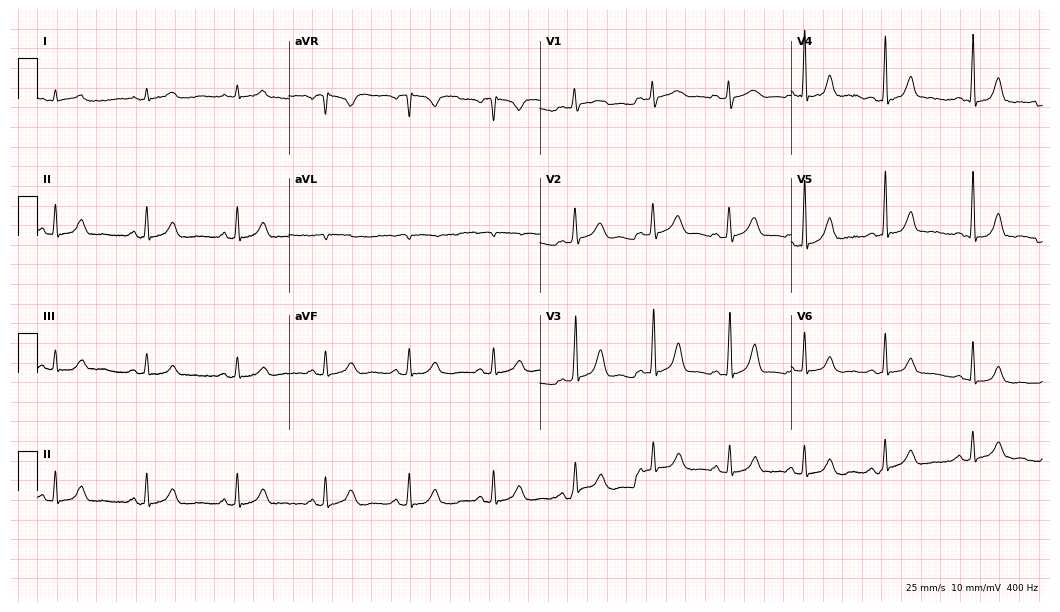
Resting 12-lead electrocardiogram. Patient: a 46-year-old female. Read as a normal ECG.